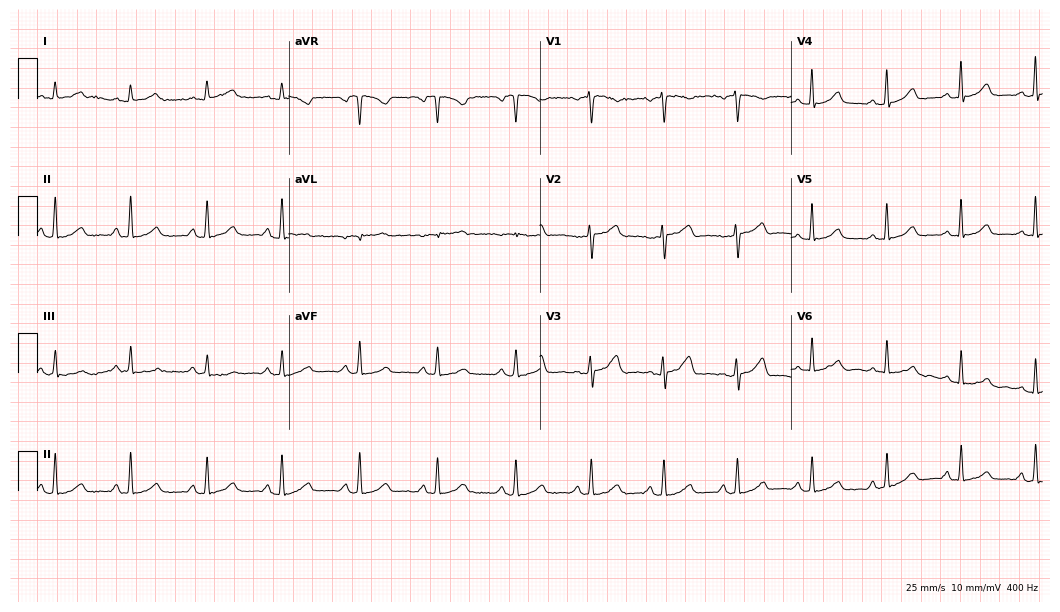
Resting 12-lead electrocardiogram (10.2-second recording at 400 Hz). Patient: a 48-year-old female. Read as a normal ECG.